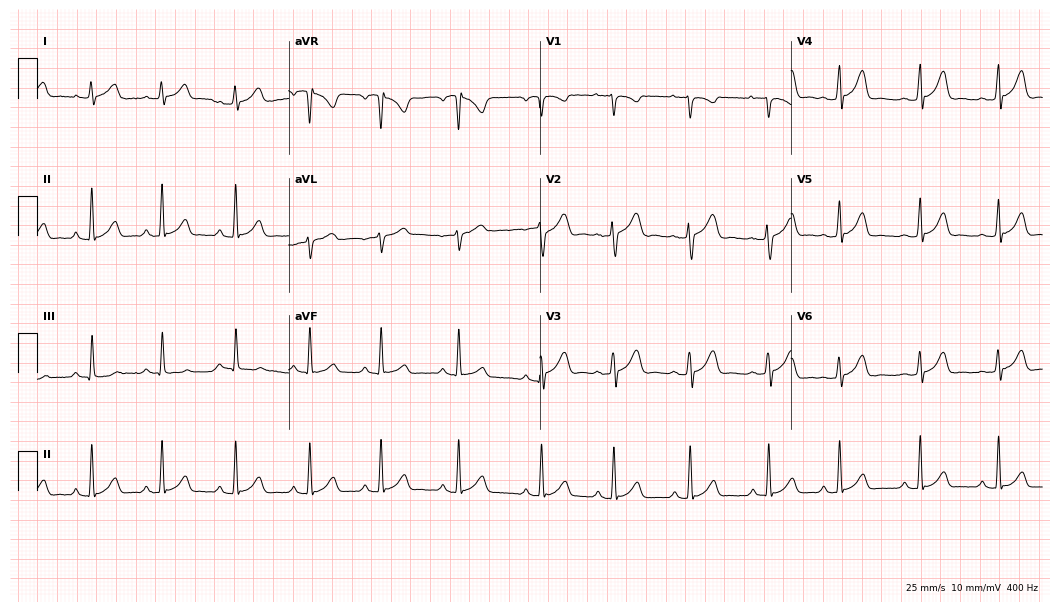
12-lead ECG from a 24-year-old female patient (10.2-second recording at 400 Hz). Recorded interpretation: within normal limits.